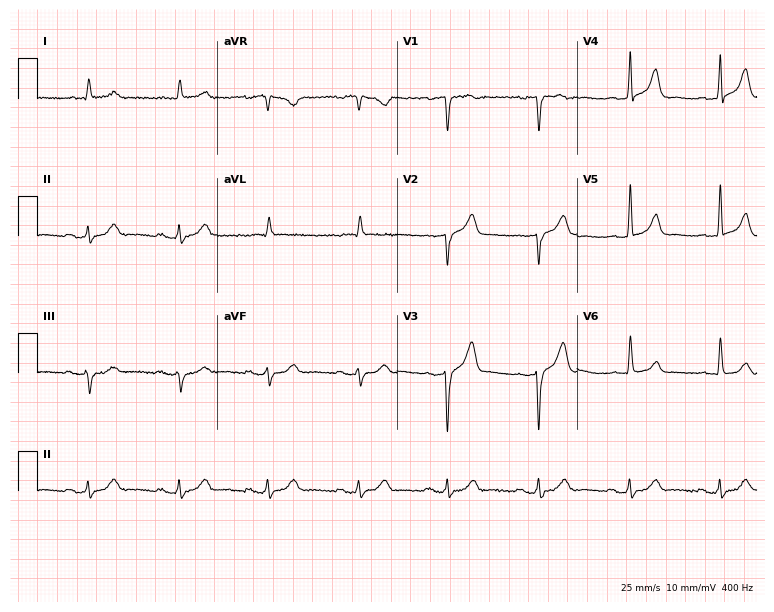
12-lead ECG from a male, 81 years old. Screened for six findings — first-degree AV block, right bundle branch block, left bundle branch block, sinus bradycardia, atrial fibrillation, sinus tachycardia — none is recorded. Only these six findings were labelled.